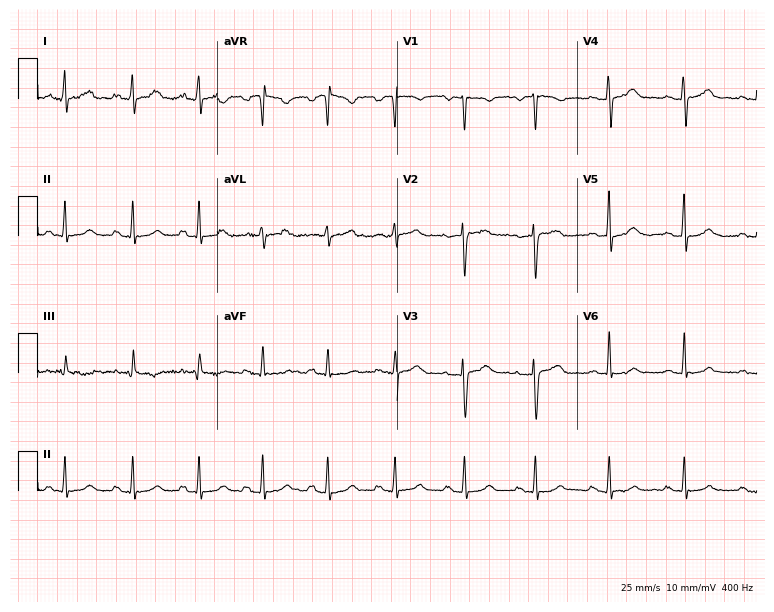
ECG — a 48-year-old female patient. Labelled as a normal ECG.